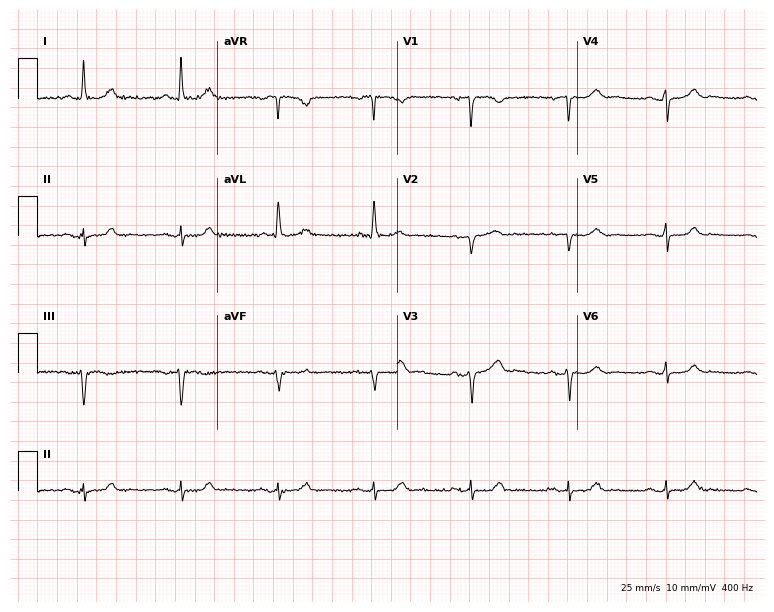
Standard 12-lead ECG recorded from a 63-year-old female (7.3-second recording at 400 Hz). None of these six findings is recorded: first-degree AV block, right bundle branch block, left bundle branch block, sinus bradycardia, atrial fibrillation, sinus tachycardia. Findings outside these six are not listed.